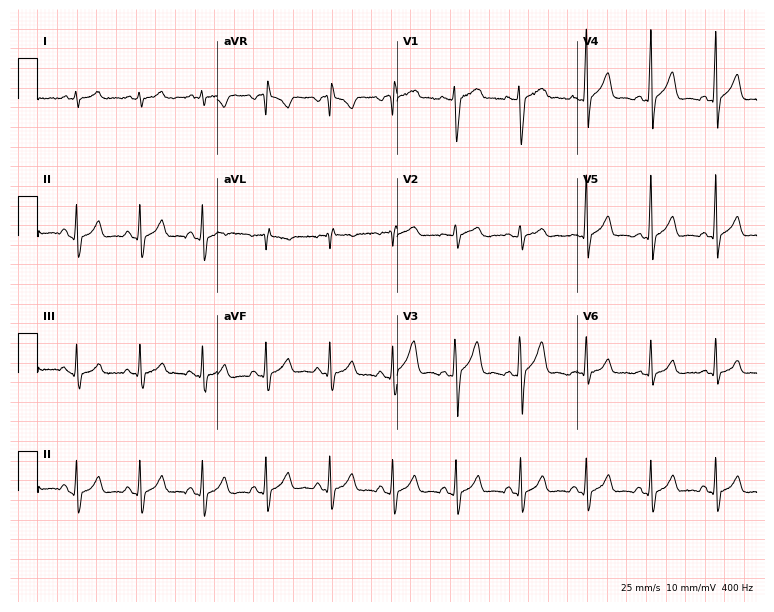
Electrocardiogram, a male, 28 years old. Overall reading on record: normal ECG.